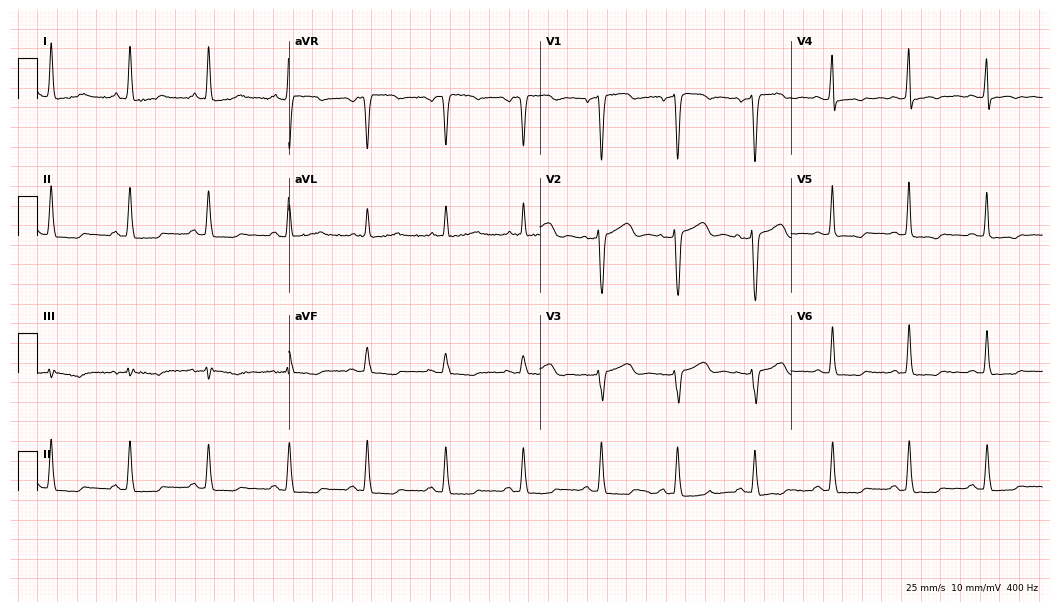
Electrocardiogram, a female patient, 66 years old. Of the six screened findings (first-degree AV block, right bundle branch block, left bundle branch block, sinus bradycardia, atrial fibrillation, sinus tachycardia), none is recorded.